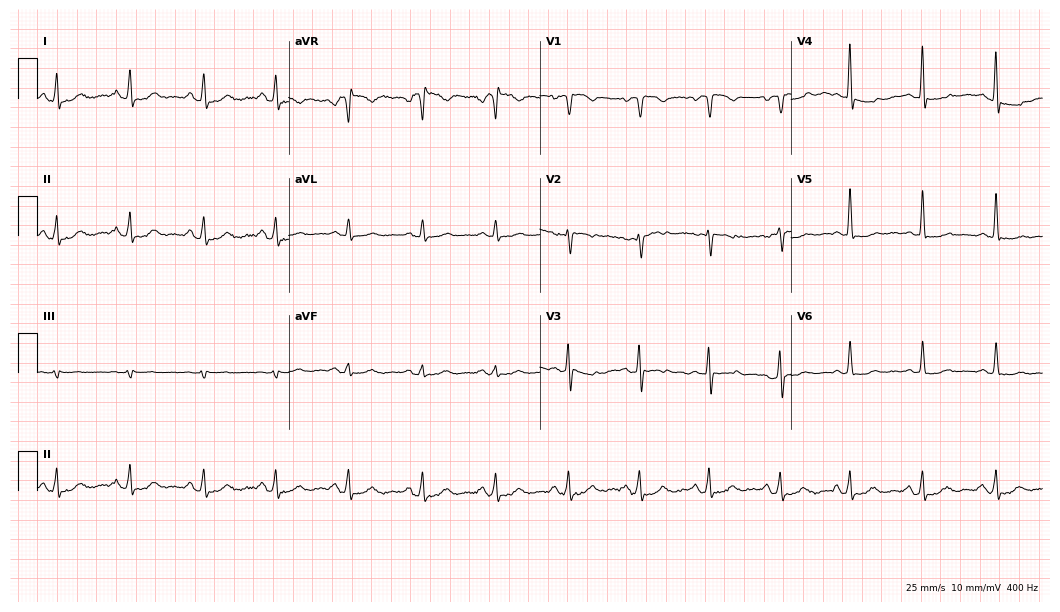
12-lead ECG from a female patient, 72 years old. Screened for six findings — first-degree AV block, right bundle branch block (RBBB), left bundle branch block (LBBB), sinus bradycardia, atrial fibrillation (AF), sinus tachycardia — none is recorded.